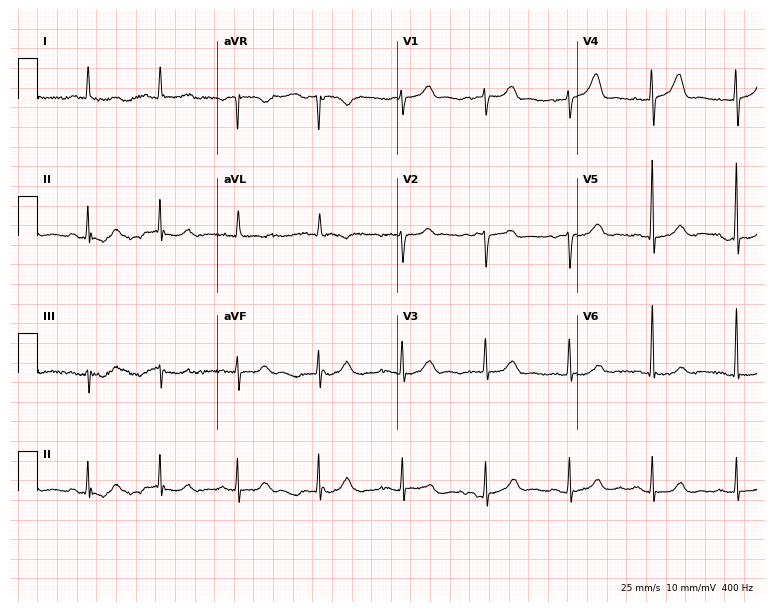
12-lead ECG from a 79-year-old female. Recorded interpretation: within normal limits.